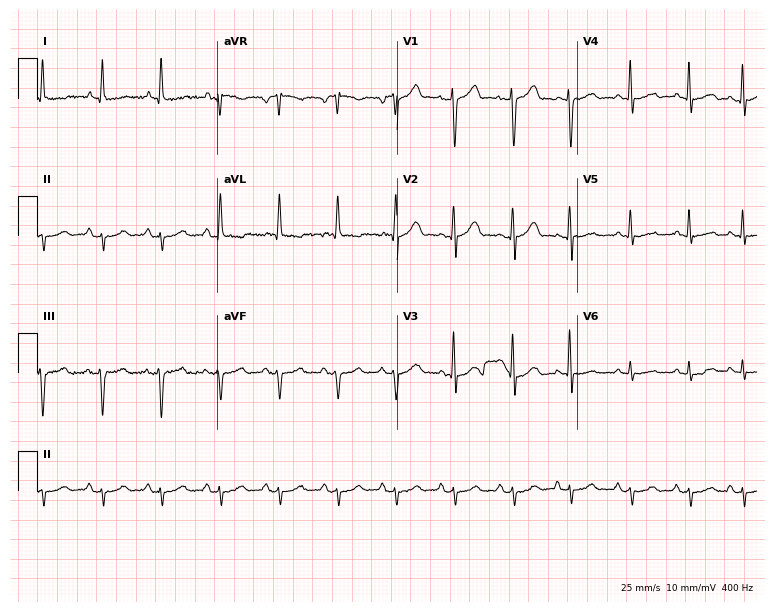
12-lead ECG from a man, 71 years old (7.3-second recording at 400 Hz). Shows sinus tachycardia (a sinus rate of 100 beats per minute or more).